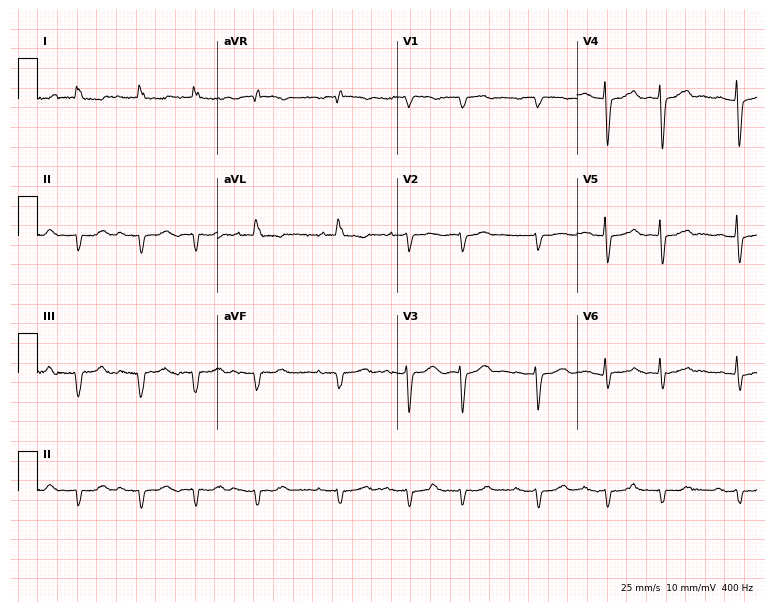
ECG — a woman, 84 years old. Screened for six findings — first-degree AV block, right bundle branch block, left bundle branch block, sinus bradycardia, atrial fibrillation, sinus tachycardia — none is recorded. Other findings, if any, are not listed.